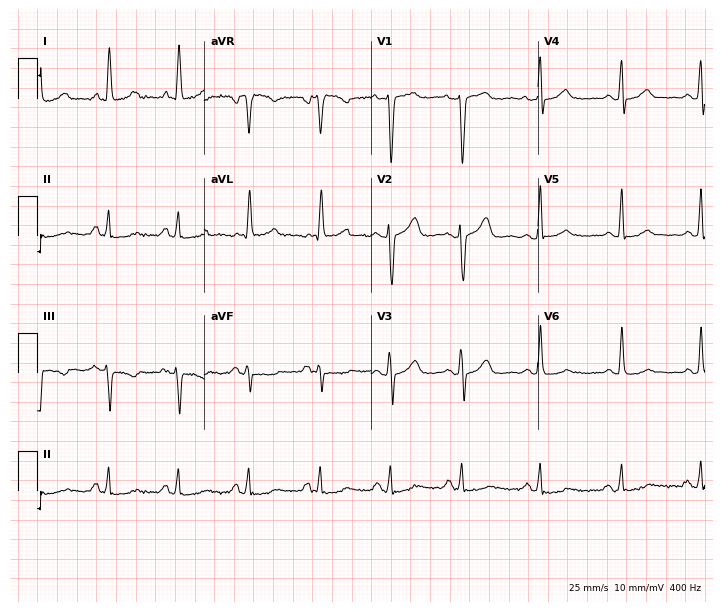
Resting 12-lead electrocardiogram. Patient: a woman, 56 years old. None of these six findings is recorded: first-degree AV block, right bundle branch block, left bundle branch block, sinus bradycardia, atrial fibrillation, sinus tachycardia.